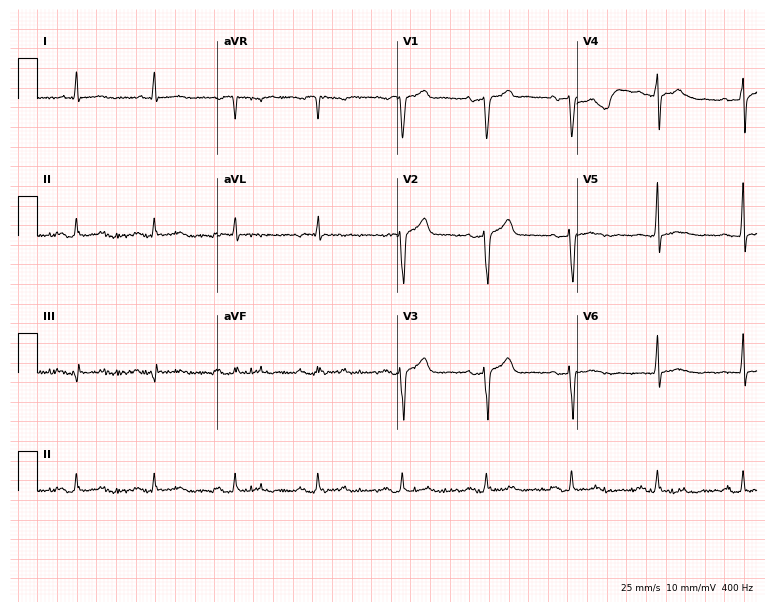
ECG (7.3-second recording at 400 Hz) — a male patient, 57 years old. Labelled as a normal ECG.